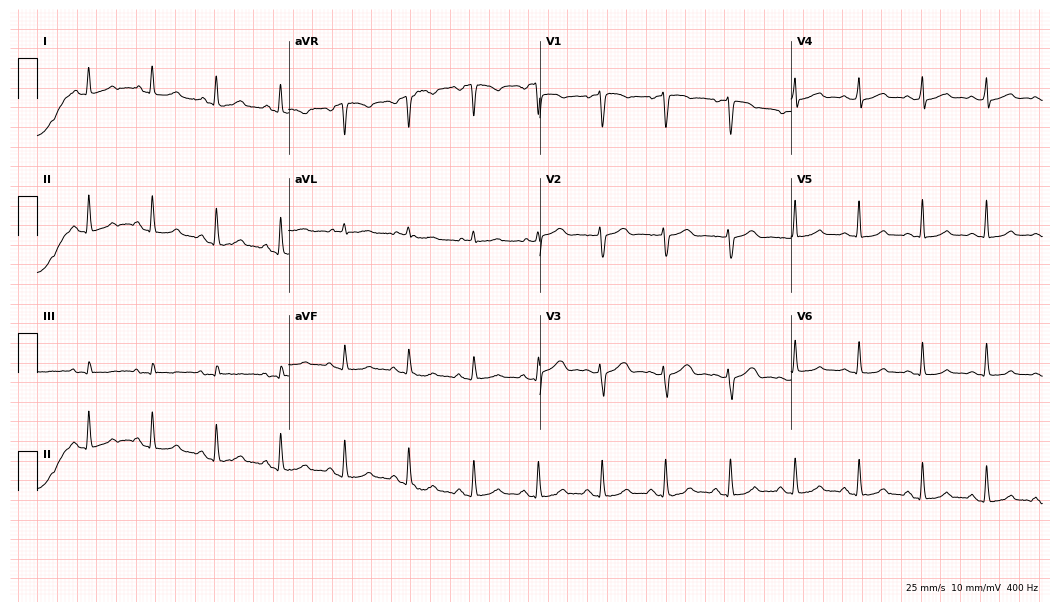
ECG (10.2-second recording at 400 Hz) — a 48-year-old female. Labelled as a normal ECG.